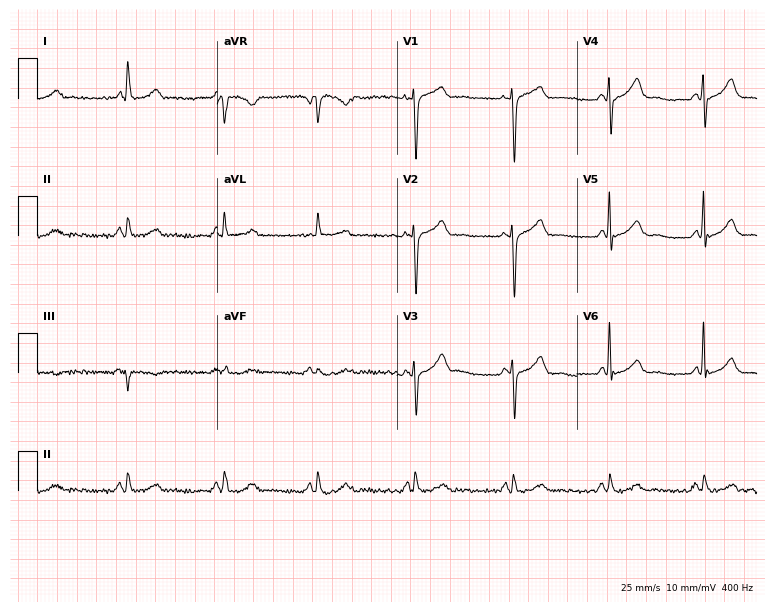
Resting 12-lead electrocardiogram. Patient: a 63-year-old woman. None of these six findings is recorded: first-degree AV block, right bundle branch block, left bundle branch block, sinus bradycardia, atrial fibrillation, sinus tachycardia.